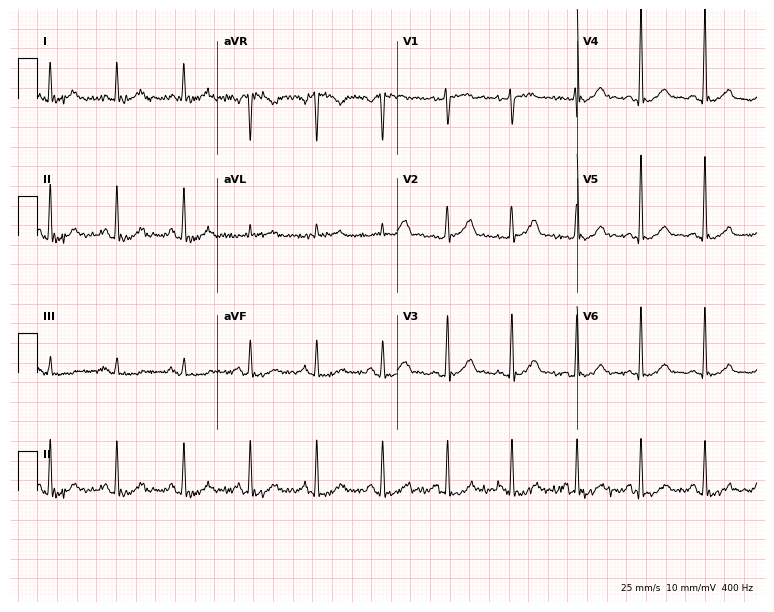
12-lead ECG (7.3-second recording at 400 Hz) from a male patient, 67 years old. Labelled as a normal ECG.